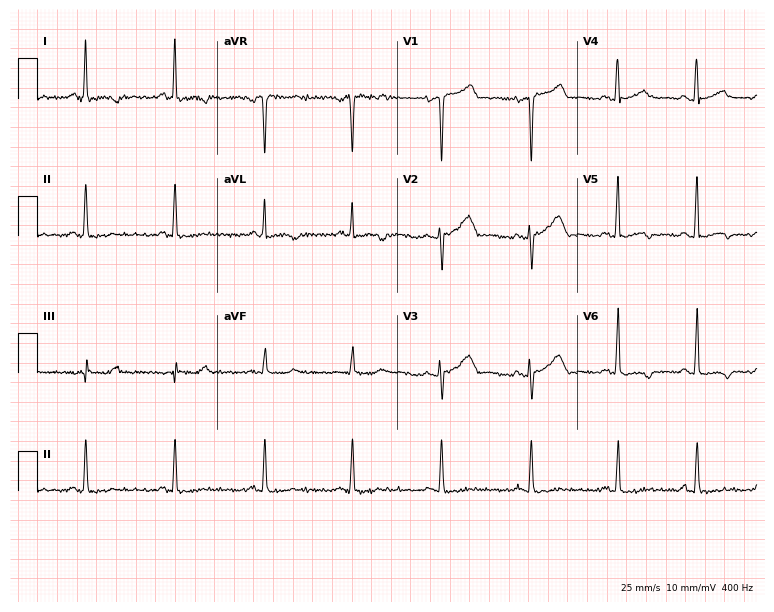
Standard 12-lead ECG recorded from a female, 53 years old. None of these six findings is recorded: first-degree AV block, right bundle branch block (RBBB), left bundle branch block (LBBB), sinus bradycardia, atrial fibrillation (AF), sinus tachycardia.